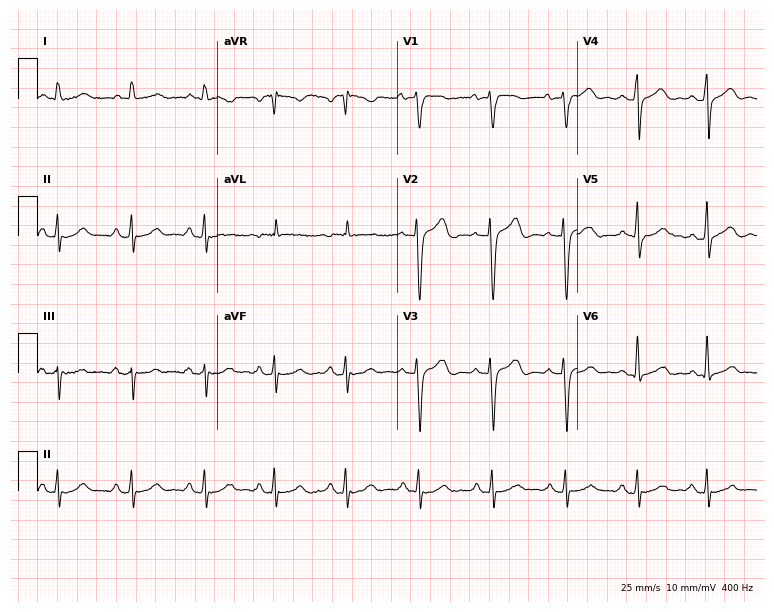
Standard 12-lead ECG recorded from a 73-year-old female. Read as a normal ECG.